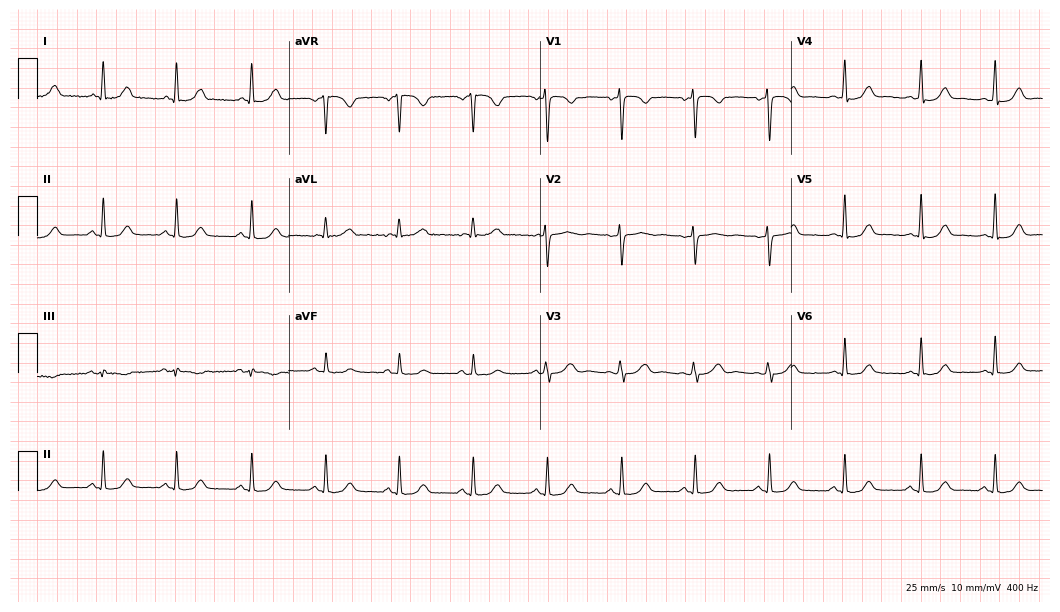
ECG (10.2-second recording at 400 Hz) — a 42-year-old woman. Labelled as a normal ECG.